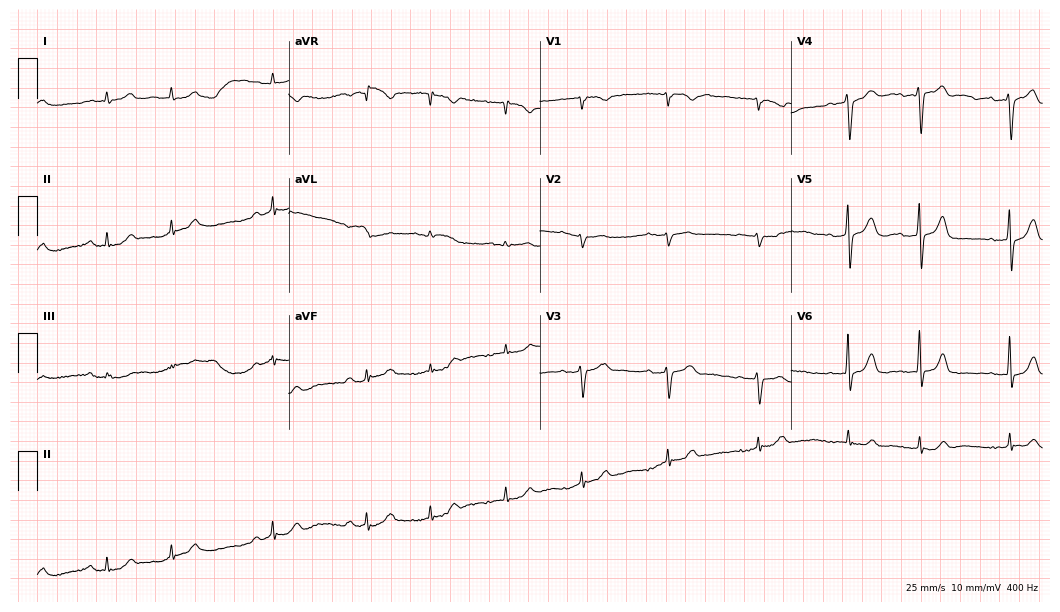
Standard 12-lead ECG recorded from a male patient, 76 years old (10.2-second recording at 400 Hz). Read as a normal ECG.